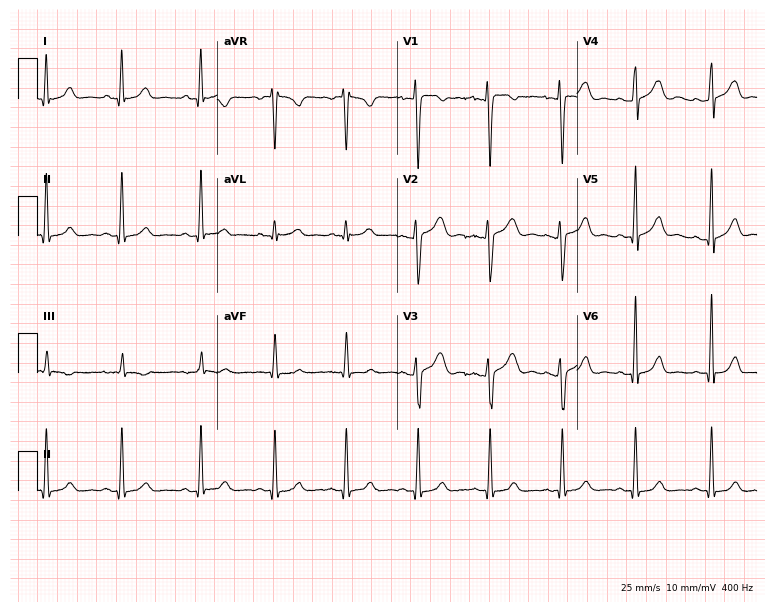
Electrocardiogram (7.3-second recording at 400 Hz), a female patient, 28 years old. Overall reading on record: normal ECG.